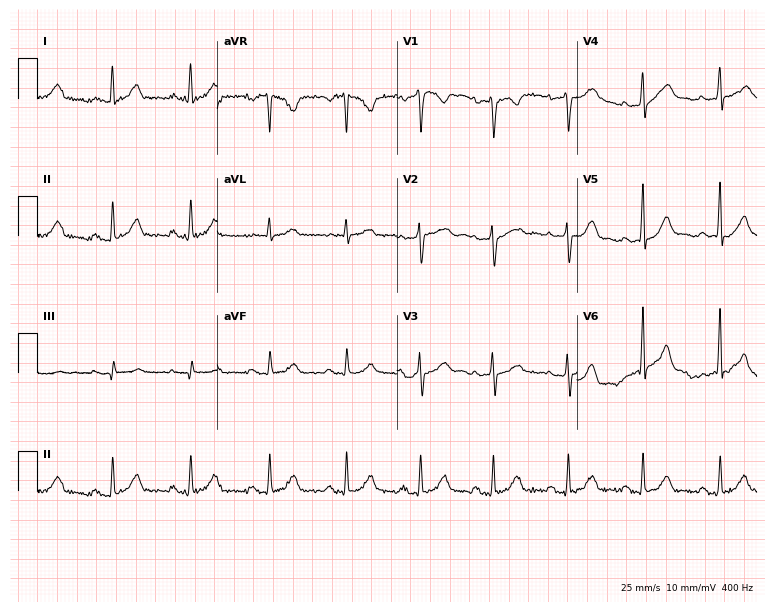
12-lead ECG (7.3-second recording at 400 Hz) from a 29-year-old woman. Labelled as a normal ECG.